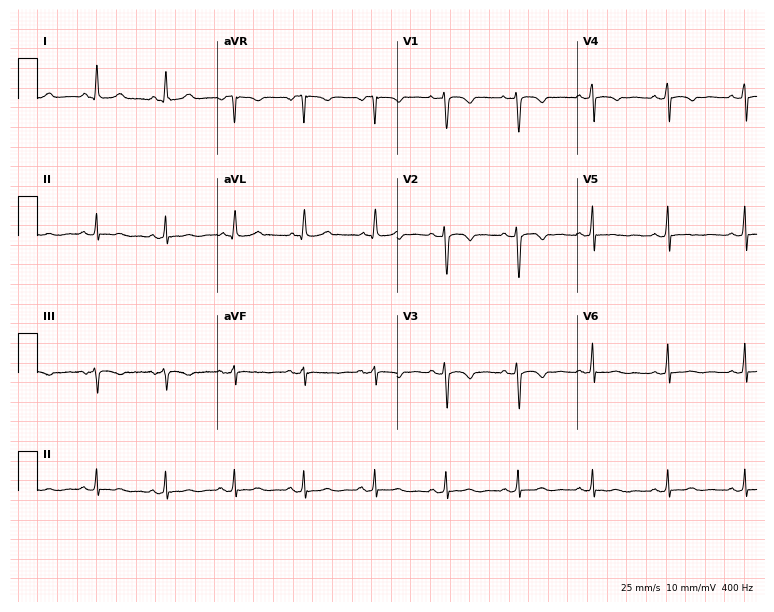
12-lead ECG from a woman, 31 years old (7.3-second recording at 400 Hz). No first-degree AV block, right bundle branch block, left bundle branch block, sinus bradycardia, atrial fibrillation or sinus tachycardia recorded for this tracing. Findings outside these six are not listed.